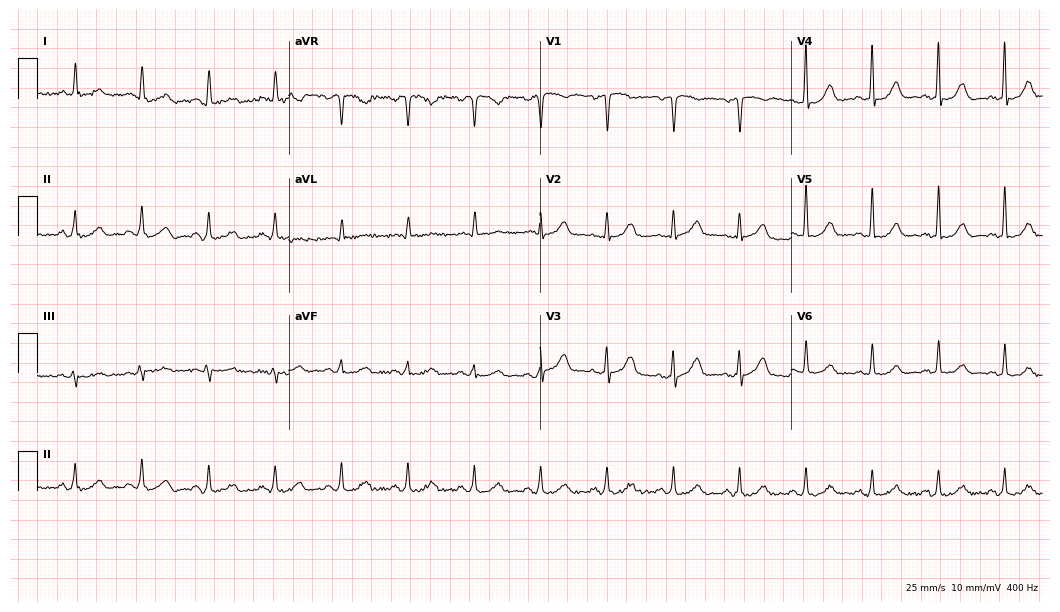
12-lead ECG (10.2-second recording at 400 Hz) from a woman, 62 years old. Labelled as a normal ECG.